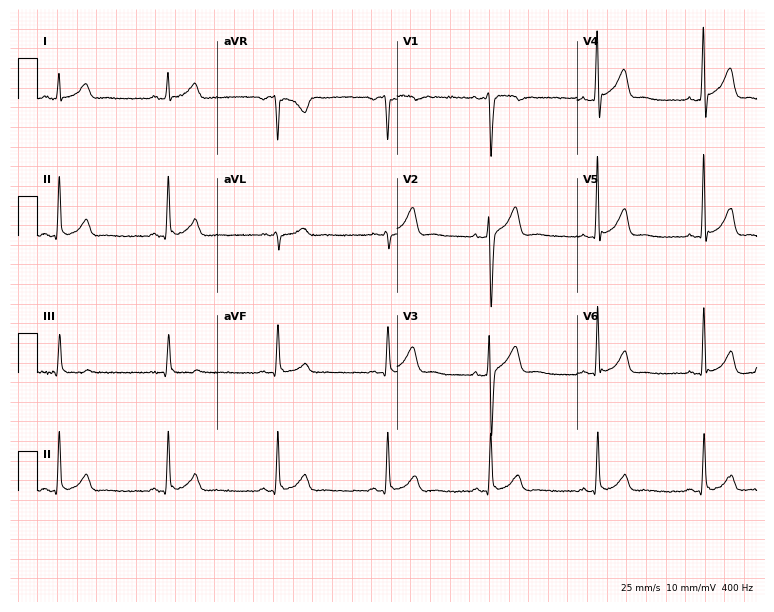
ECG (7.3-second recording at 400 Hz) — a male patient, 35 years old. Labelled as a normal ECG.